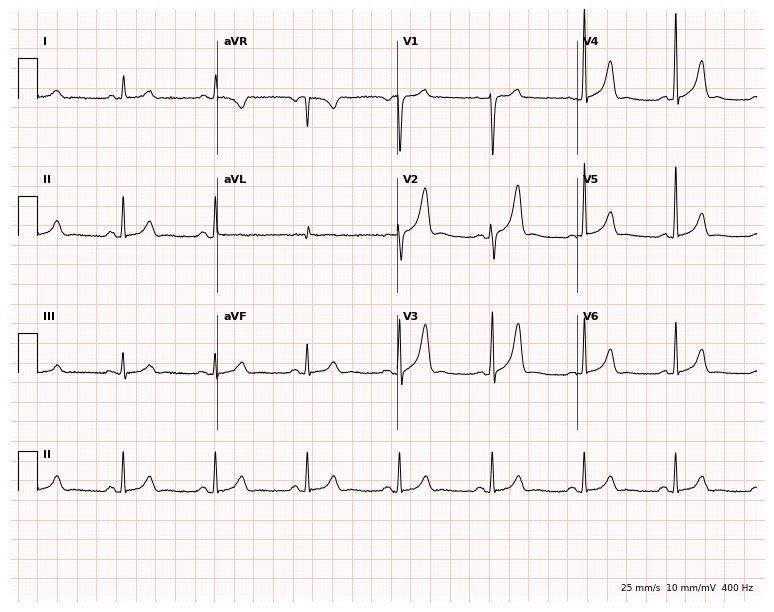
Resting 12-lead electrocardiogram (7.3-second recording at 400 Hz). Patient: a 60-year-old male. None of these six findings is recorded: first-degree AV block, right bundle branch block, left bundle branch block, sinus bradycardia, atrial fibrillation, sinus tachycardia. Only these six findings were labelled.